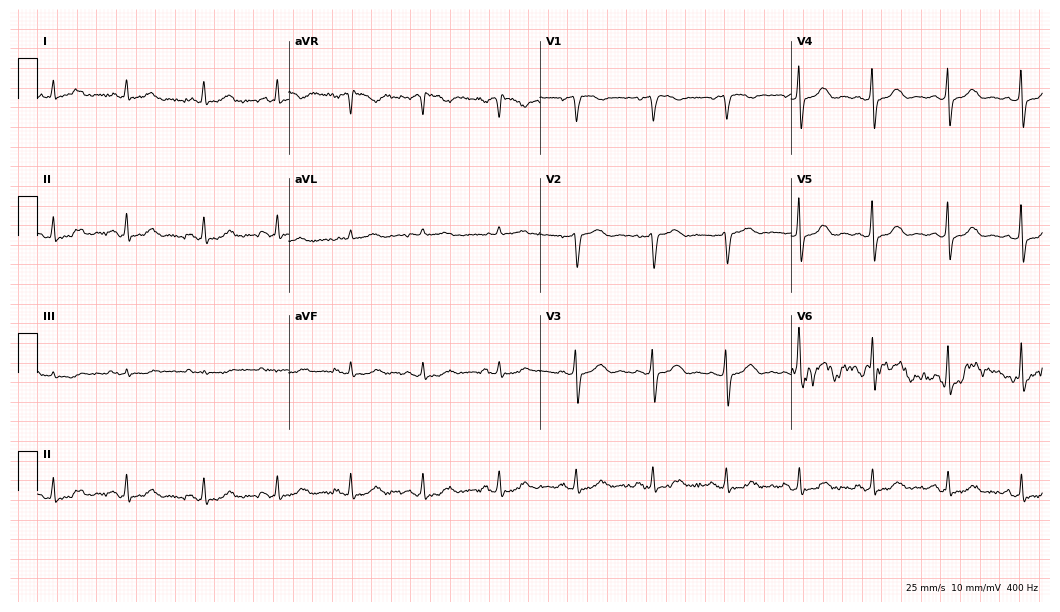
12-lead ECG from a female patient, 56 years old. Labelled as a normal ECG.